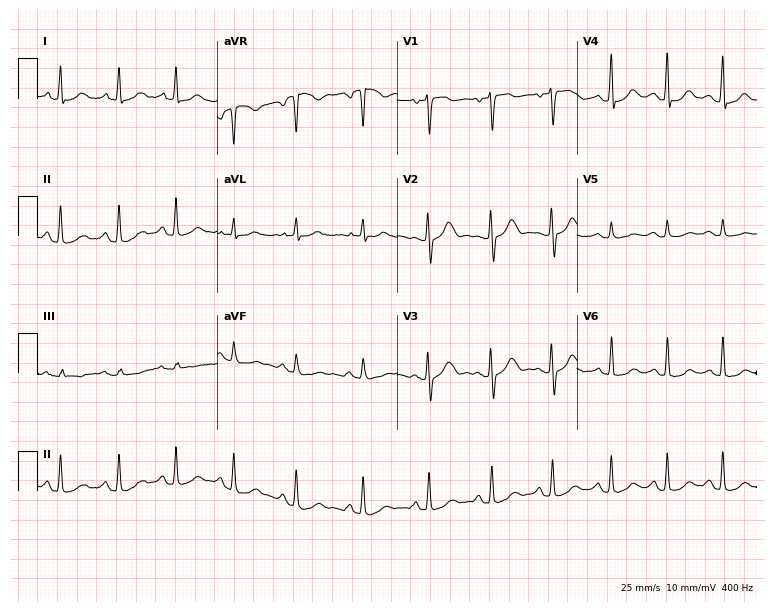
12-lead ECG from a 41-year-old woman. No first-degree AV block, right bundle branch block, left bundle branch block, sinus bradycardia, atrial fibrillation or sinus tachycardia recorded for this tracing.